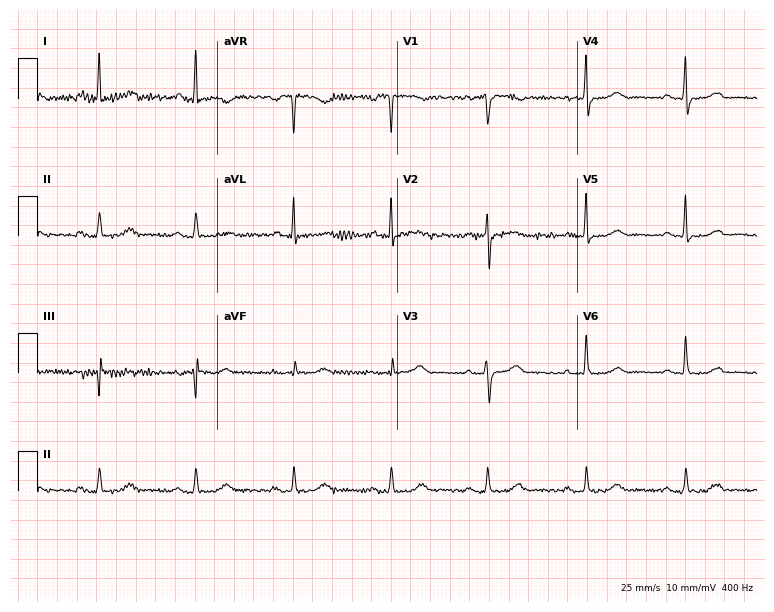
Electrocardiogram, a female patient, 73 years old. Overall reading on record: normal ECG.